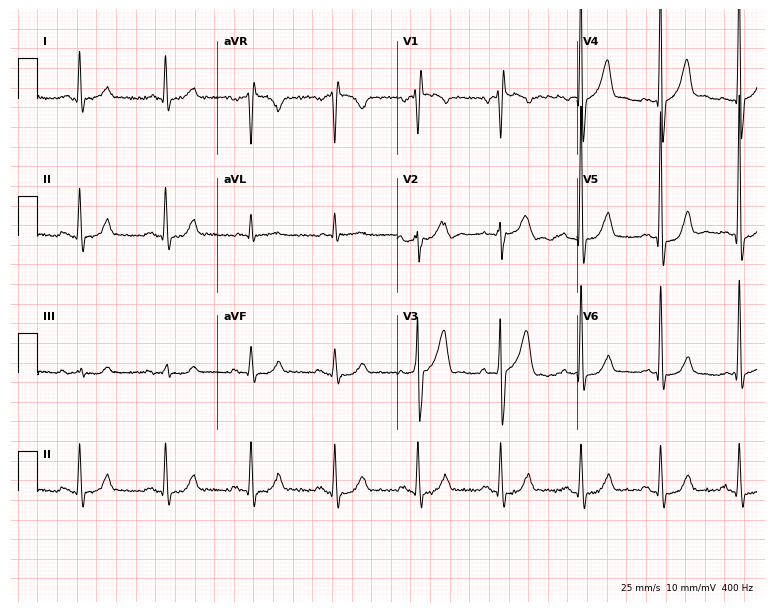
12-lead ECG (7.3-second recording at 400 Hz) from a male patient, 71 years old. Labelled as a normal ECG.